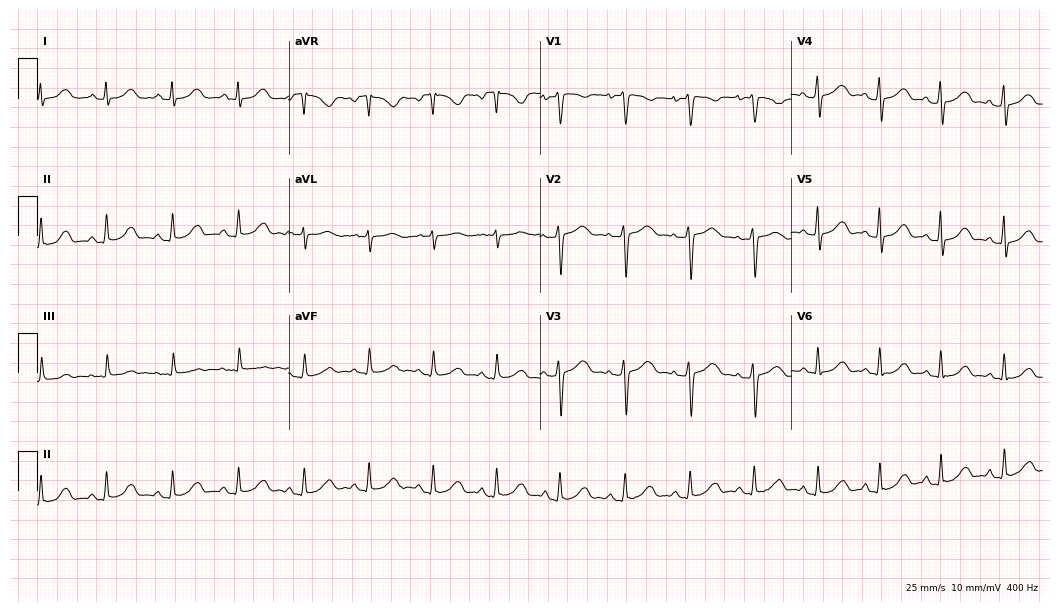
12-lead ECG from a woman, 47 years old (10.2-second recording at 400 Hz). Recorded interpretation: within normal limits.